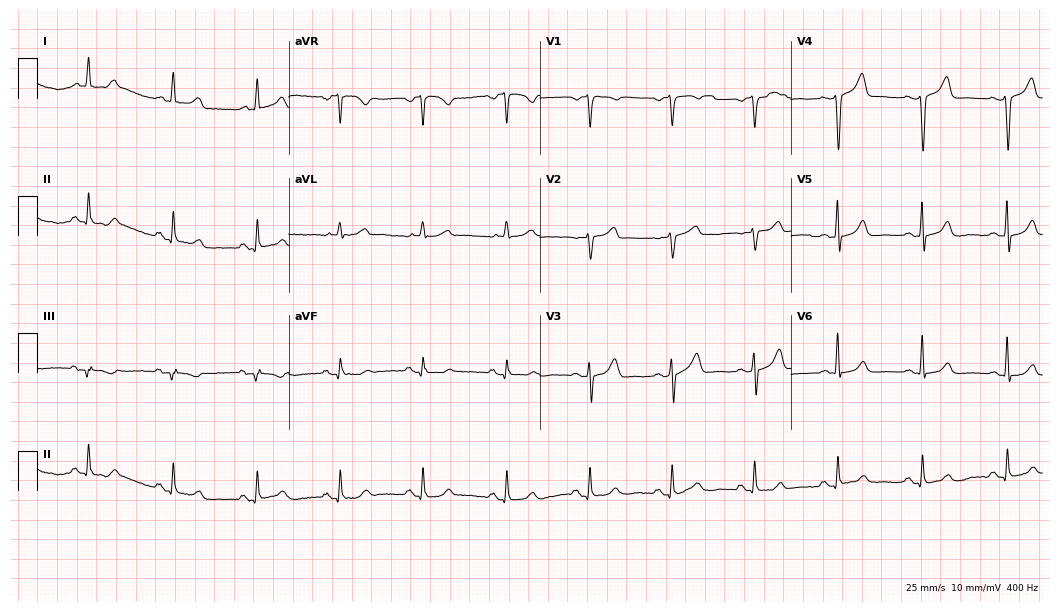
Electrocardiogram (10.2-second recording at 400 Hz), a male, 61 years old. Of the six screened findings (first-degree AV block, right bundle branch block (RBBB), left bundle branch block (LBBB), sinus bradycardia, atrial fibrillation (AF), sinus tachycardia), none is recorded. Findings outside these six are not listed.